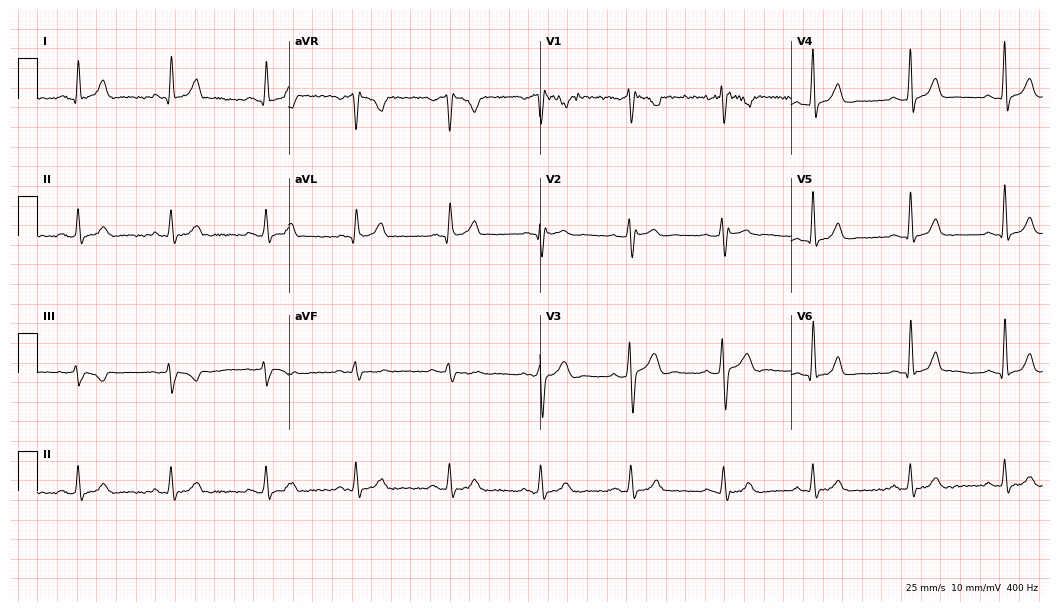
Electrocardiogram (10.2-second recording at 400 Hz), a 53-year-old woman. Of the six screened findings (first-degree AV block, right bundle branch block (RBBB), left bundle branch block (LBBB), sinus bradycardia, atrial fibrillation (AF), sinus tachycardia), none is recorded. Findings outside these six are not listed.